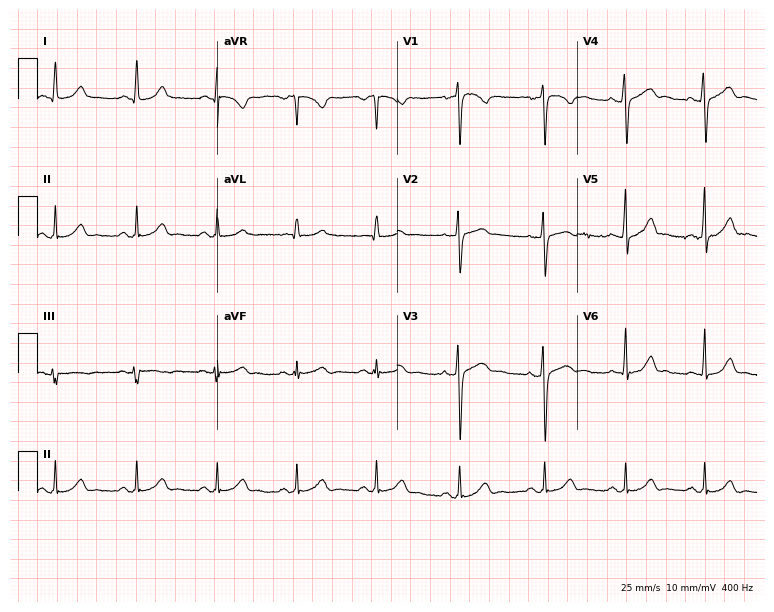
Standard 12-lead ECG recorded from a 40-year-old woman. None of these six findings is recorded: first-degree AV block, right bundle branch block (RBBB), left bundle branch block (LBBB), sinus bradycardia, atrial fibrillation (AF), sinus tachycardia.